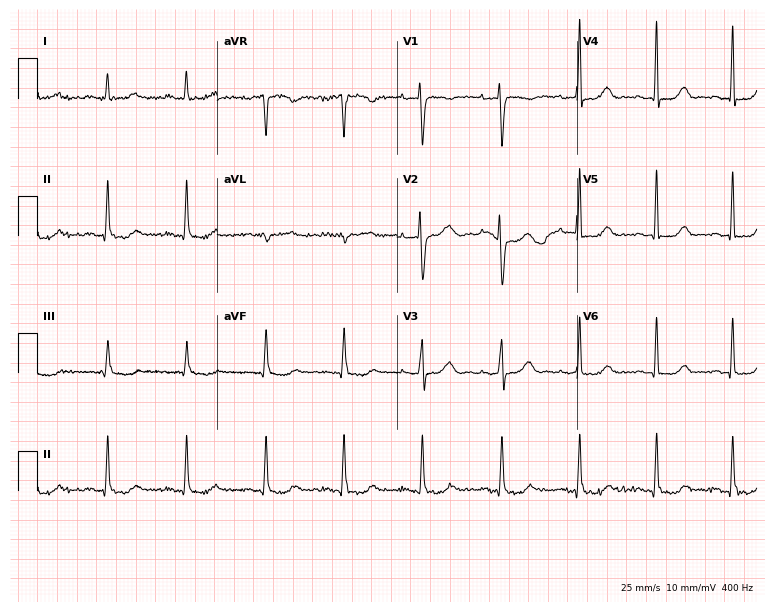
Standard 12-lead ECG recorded from a 49-year-old female (7.3-second recording at 400 Hz). None of these six findings is recorded: first-degree AV block, right bundle branch block, left bundle branch block, sinus bradycardia, atrial fibrillation, sinus tachycardia. Findings outside these six are not listed.